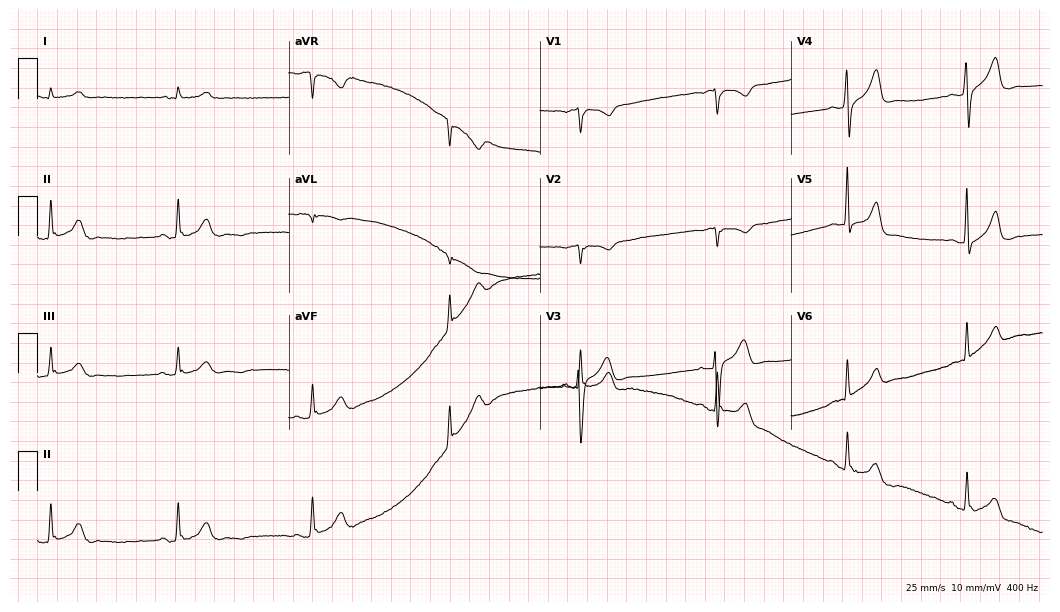
ECG (10.2-second recording at 400 Hz) — a man, 26 years old. Screened for six findings — first-degree AV block, right bundle branch block (RBBB), left bundle branch block (LBBB), sinus bradycardia, atrial fibrillation (AF), sinus tachycardia — none is recorded. Only these six findings were labelled.